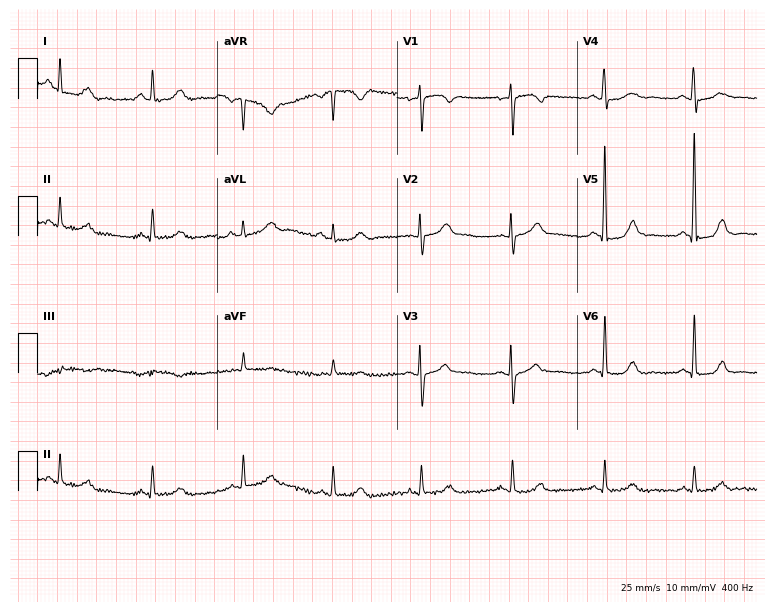
Electrocardiogram (7.3-second recording at 400 Hz), a 57-year-old woman. Overall reading on record: normal ECG.